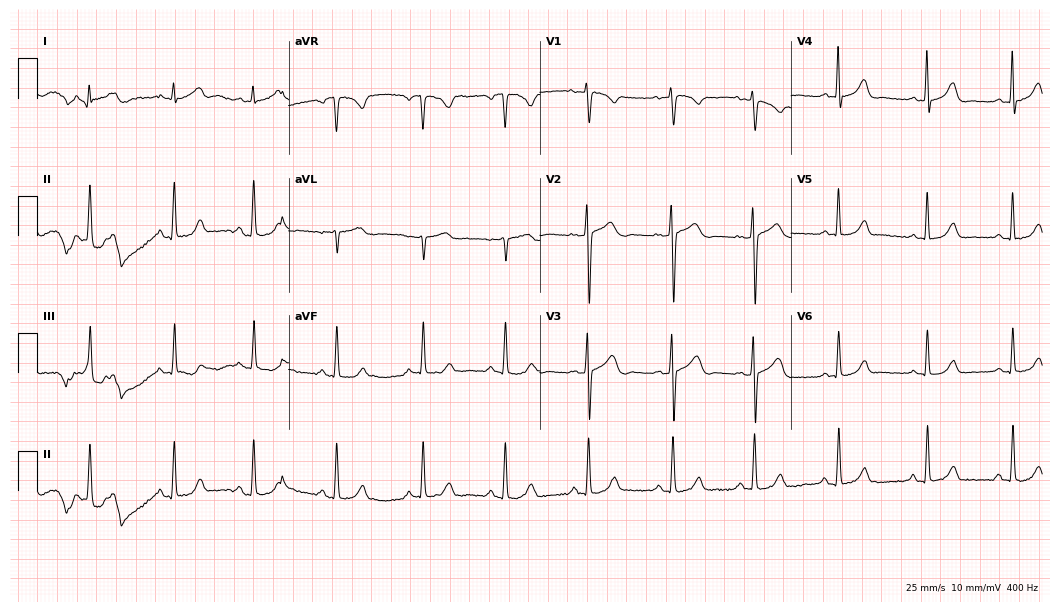
Standard 12-lead ECG recorded from a female patient, 49 years old. Read as a normal ECG.